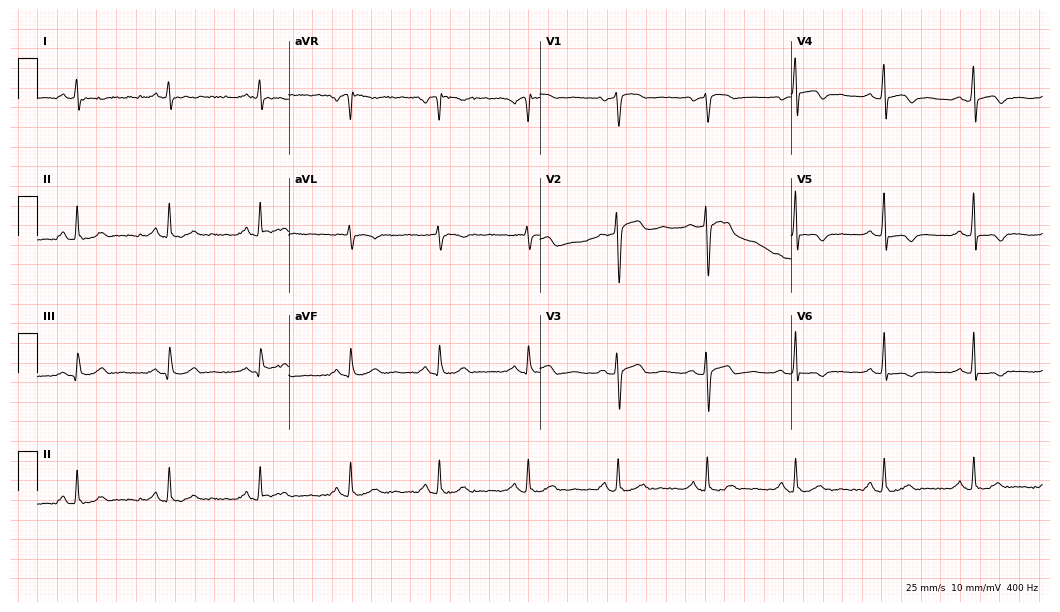
Resting 12-lead electrocardiogram. Patient: a man, 59 years old. None of these six findings is recorded: first-degree AV block, right bundle branch block, left bundle branch block, sinus bradycardia, atrial fibrillation, sinus tachycardia.